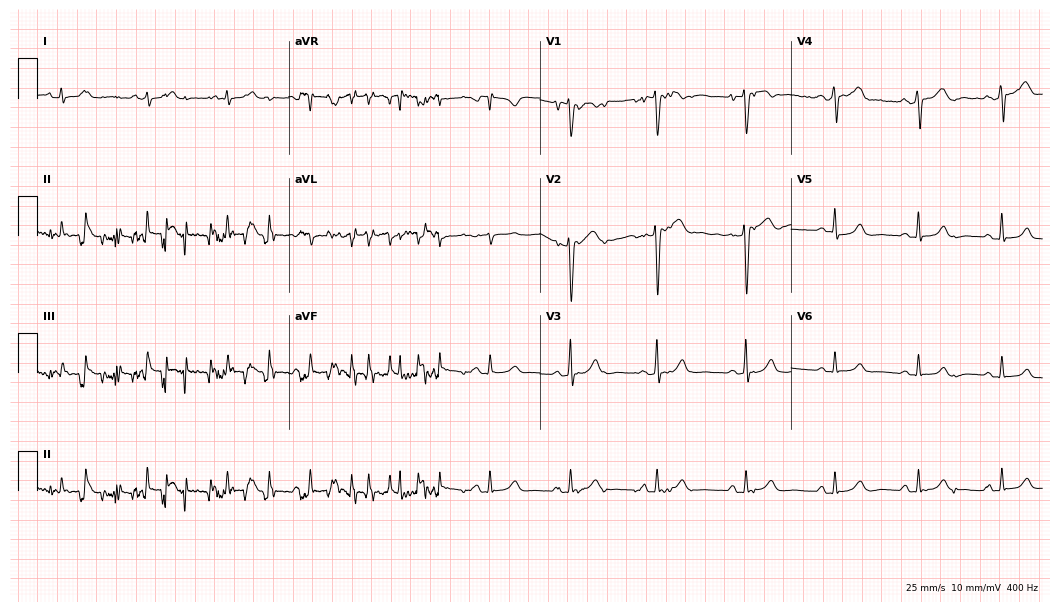
ECG — a female, 20 years old. Screened for six findings — first-degree AV block, right bundle branch block (RBBB), left bundle branch block (LBBB), sinus bradycardia, atrial fibrillation (AF), sinus tachycardia — none is recorded. Other findings, if any, are not listed.